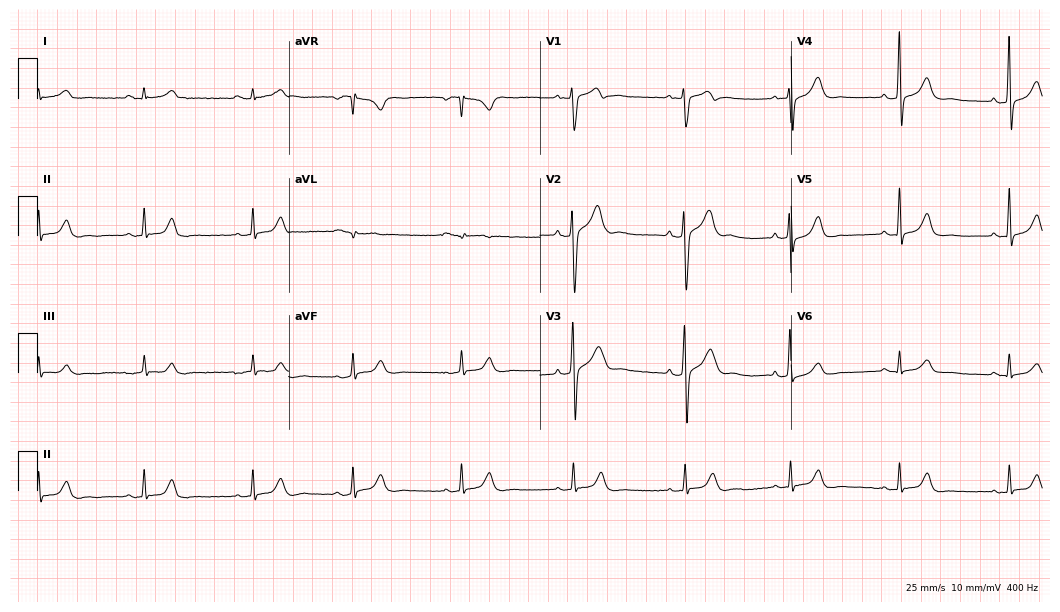
Resting 12-lead electrocardiogram (10.2-second recording at 400 Hz). Patient: a man, 29 years old. None of these six findings is recorded: first-degree AV block, right bundle branch block (RBBB), left bundle branch block (LBBB), sinus bradycardia, atrial fibrillation (AF), sinus tachycardia. Other findings, if any, are not listed.